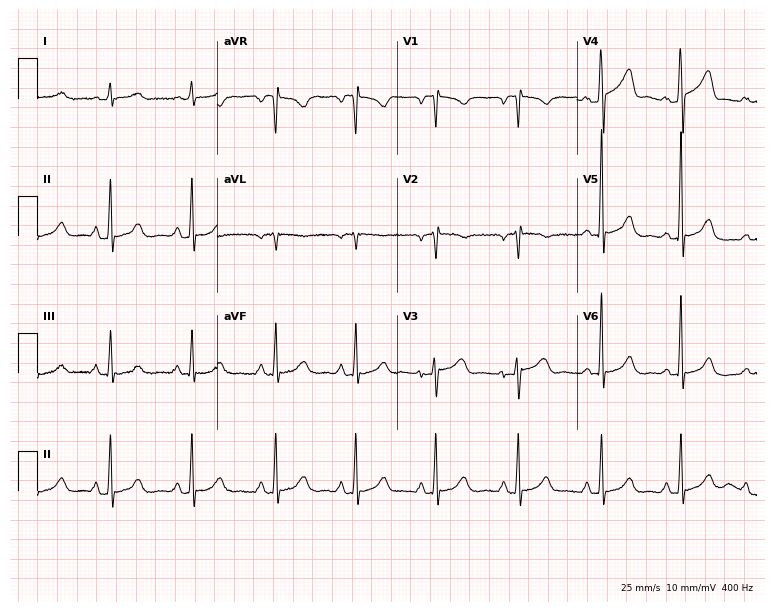
Standard 12-lead ECG recorded from a male, 46 years old (7.3-second recording at 400 Hz). Read as a normal ECG.